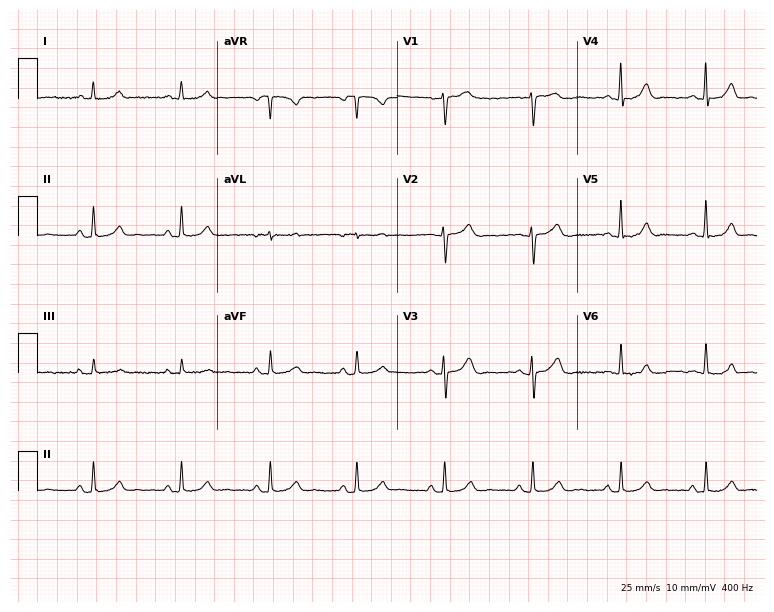
ECG — a female patient, 60 years old. Labelled as a normal ECG.